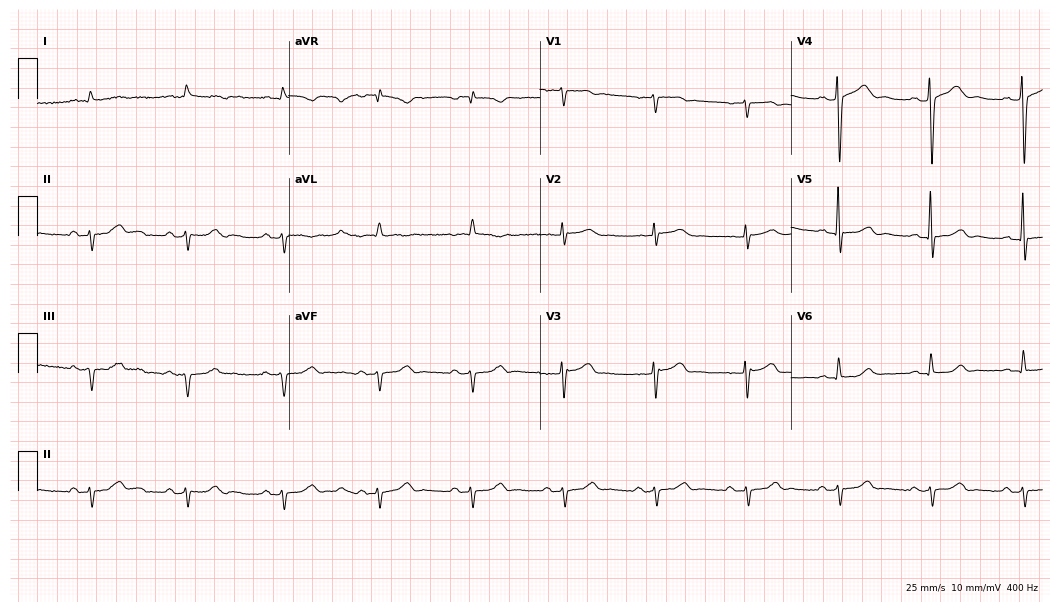
Resting 12-lead electrocardiogram (10.2-second recording at 400 Hz). Patient: a 76-year-old male. None of these six findings is recorded: first-degree AV block, right bundle branch block, left bundle branch block, sinus bradycardia, atrial fibrillation, sinus tachycardia. Other findings, if any, are not listed.